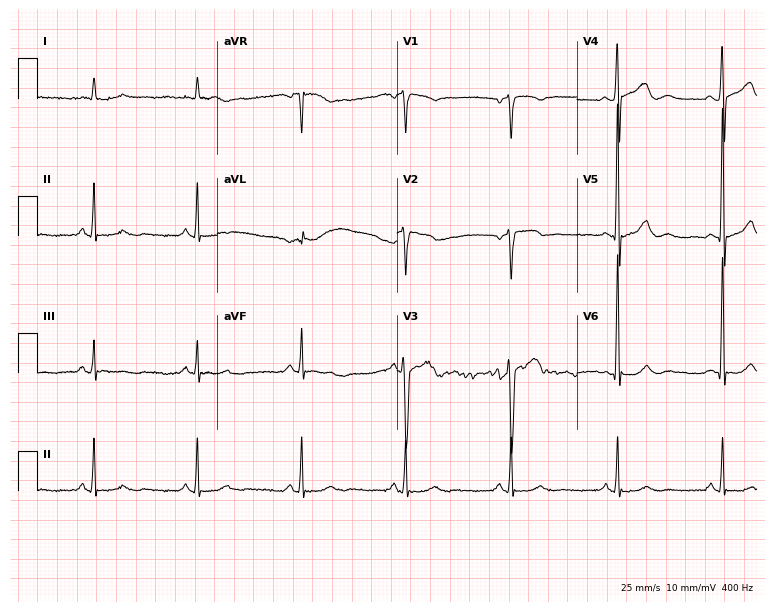
Standard 12-lead ECG recorded from a male patient, 79 years old. None of these six findings is recorded: first-degree AV block, right bundle branch block (RBBB), left bundle branch block (LBBB), sinus bradycardia, atrial fibrillation (AF), sinus tachycardia. Other findings, if any, are not listed.